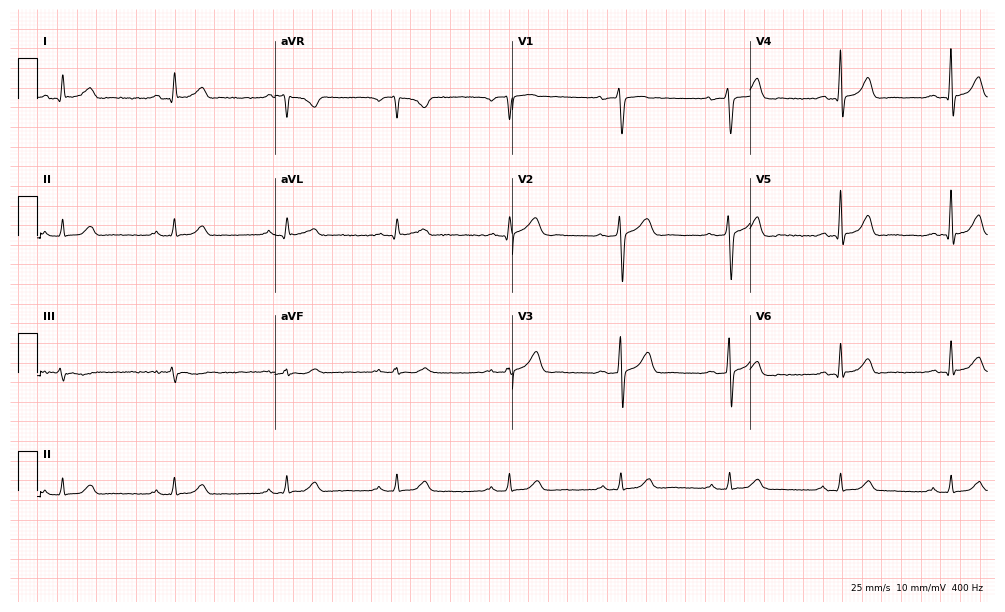
Electrocardiogram (9.7-second recording at 400 Hz), a woman, 50 years old. Interpretation includes first-degree AV block.